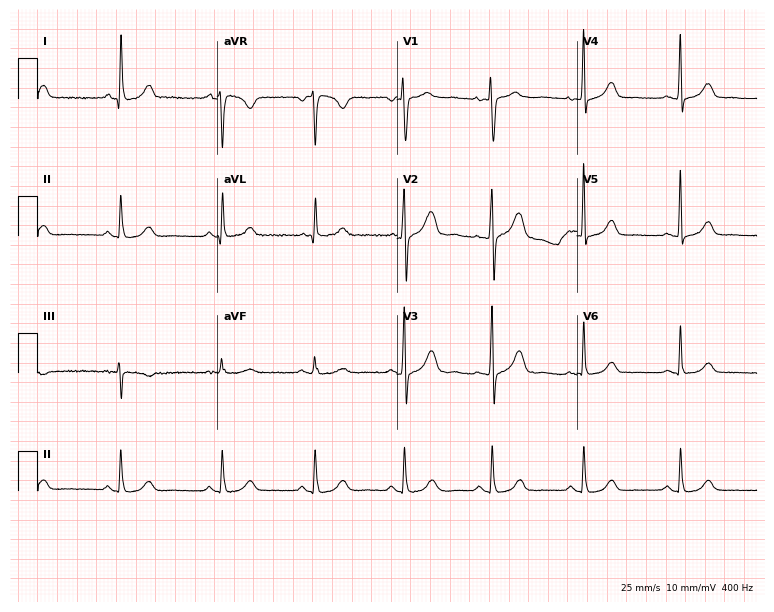
Resting 12-lead electrocardiogram (7.3-second recording at 400 Hz). Patient: a woman, 52 years old. Read as a normal ECG.